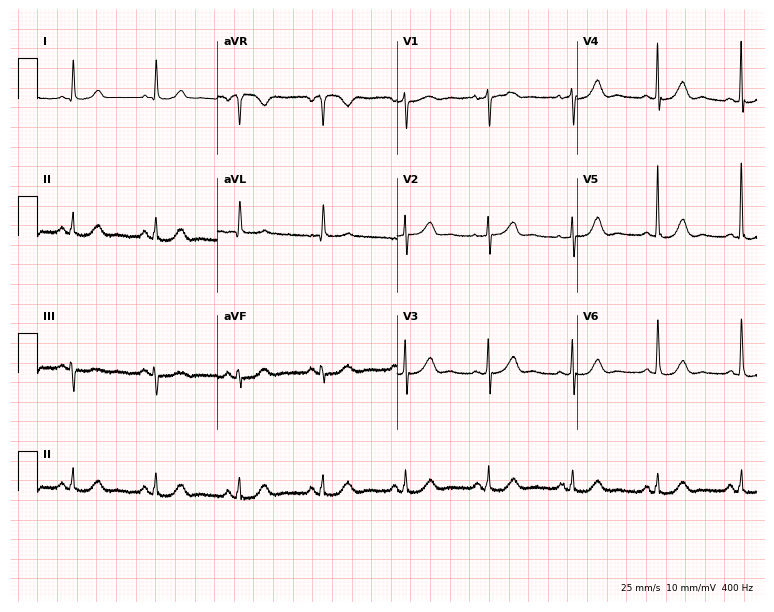
12-lead ECG from a 78-year-old female. Labelled as a normal ECG.